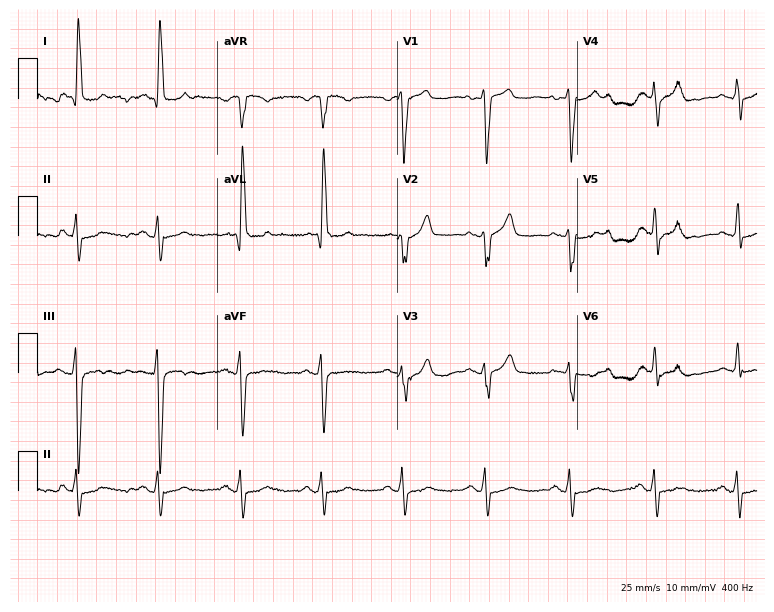
12-lead ECG from a female patient, 65 years old. Screened for six findings — first-degree AV block, right bundle branch block, left bundle branch block, sinus bradycardia, atrial fibrillation, sinus tachycardia — none is recorded.